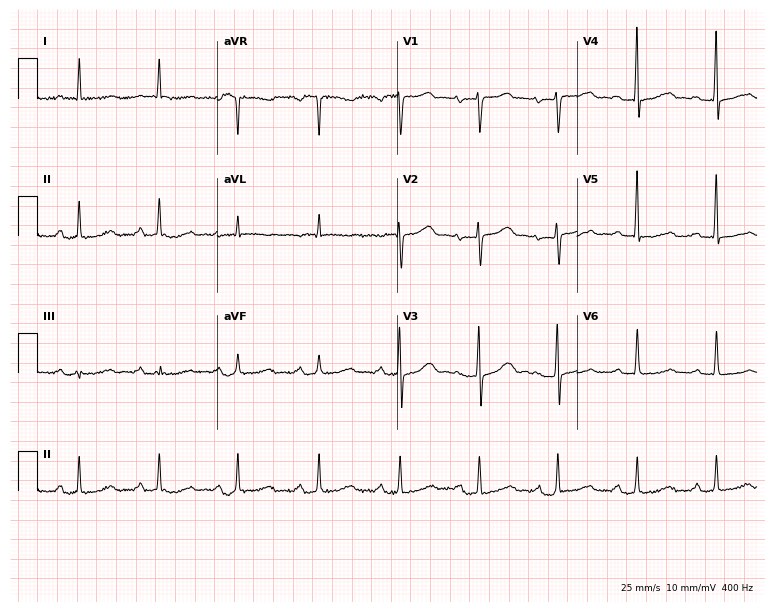
ECG (7.3-second recording at 400 Hz) — a female, 72 years old. Findings include first-degree AV block.